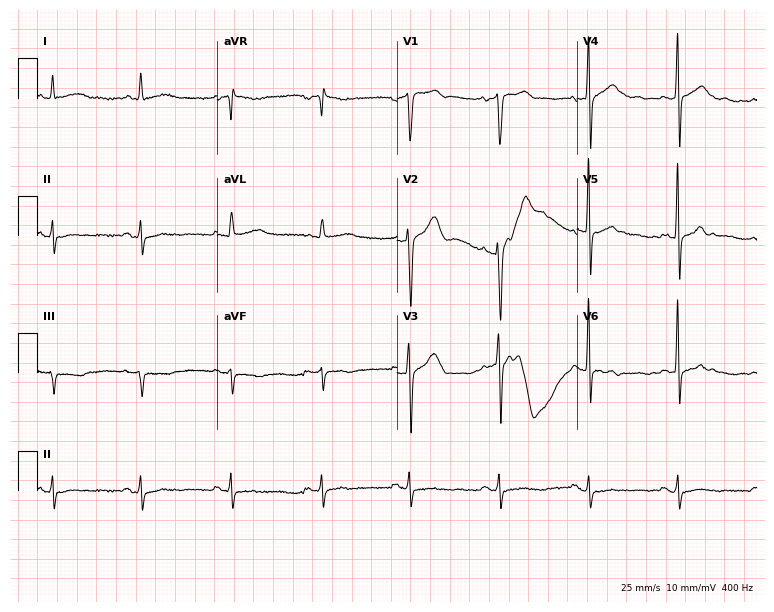
Resting 12-lead electrocardiogram. Patient: a 71-year-old man. None of these six findings is recorded: first-degree AV block, right bundle branch block, left bundle branch block, sinus bradycardia, atrial fibrillation, sinus tachycardia. Other findings, if any, are not listed.